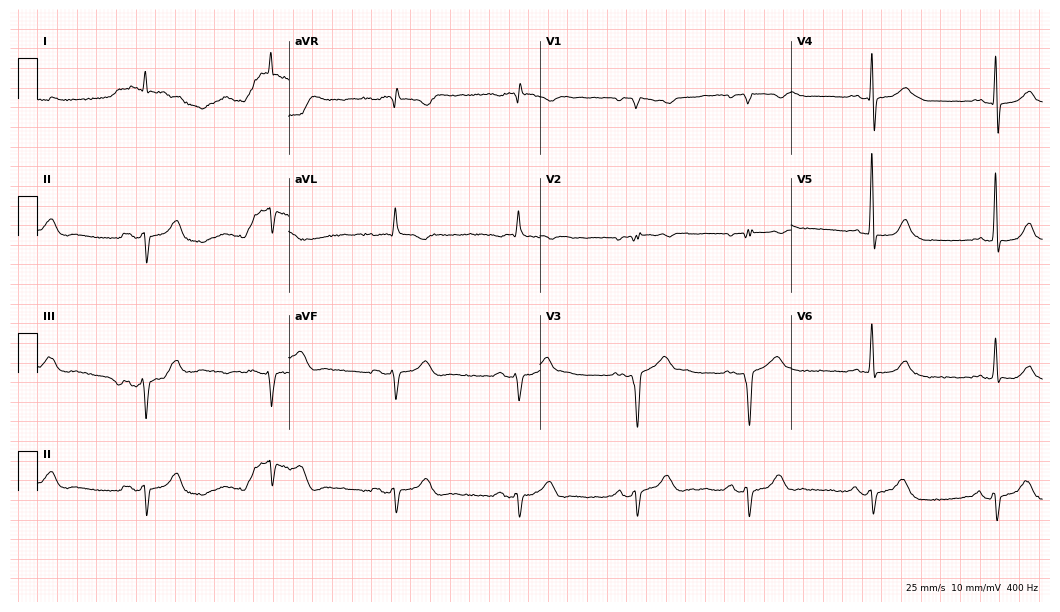
ECG — a 69-year-old male. Findings include right bundle branch block.